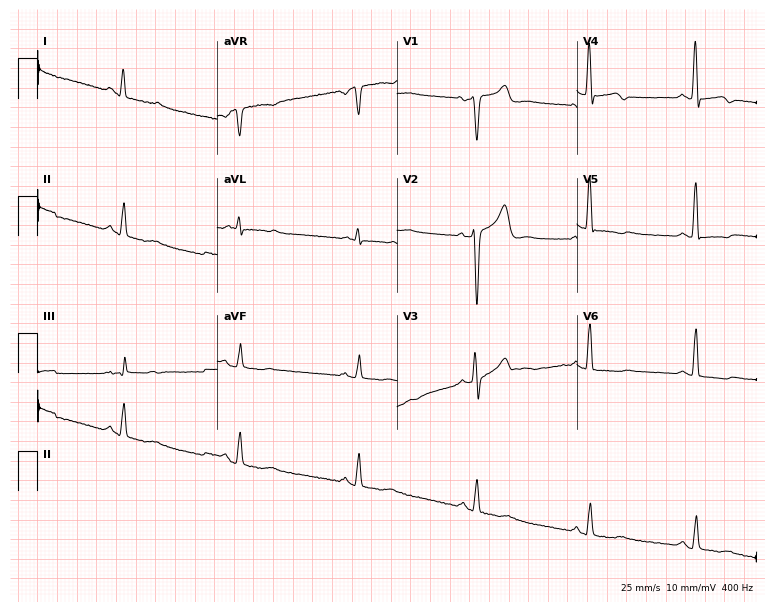
Electrocardiogram (7.3-second recording at 400 Hz), a man, 65 years old. Of the six screened findings (first-degree AV block, right bundle branch block, left bundle branch block, sinus bradycardia, atrial fibrillation, sinus tachycardia), none is recorded.